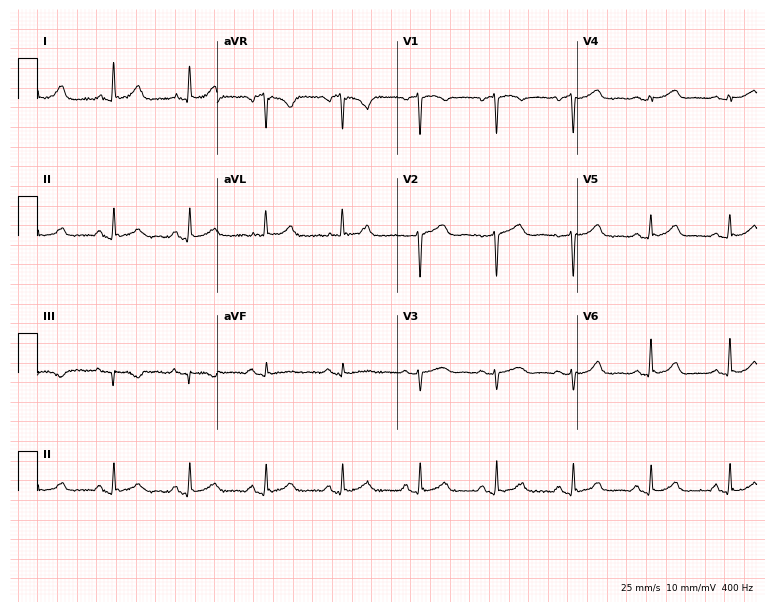
Resting 12-lead electrocardiogram. Patient: a 56-year-old female. Read as a normal ECG.